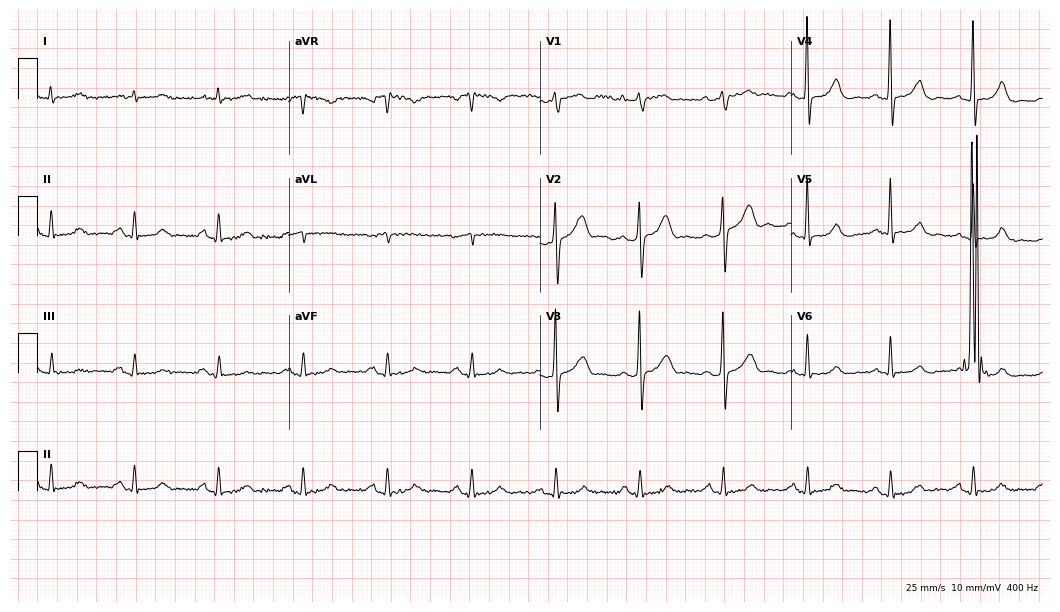
Standard 12-lead ECG recorded from a 78-year-old male patient. Read as a normal ECG.